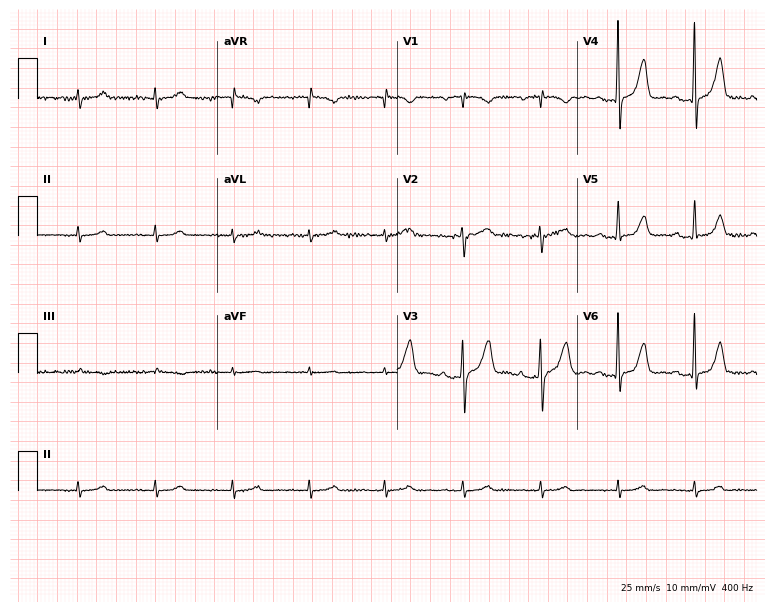
Standard 12-lead ECG recorded from a 78-year-old female patient. Read as a normal ECG.